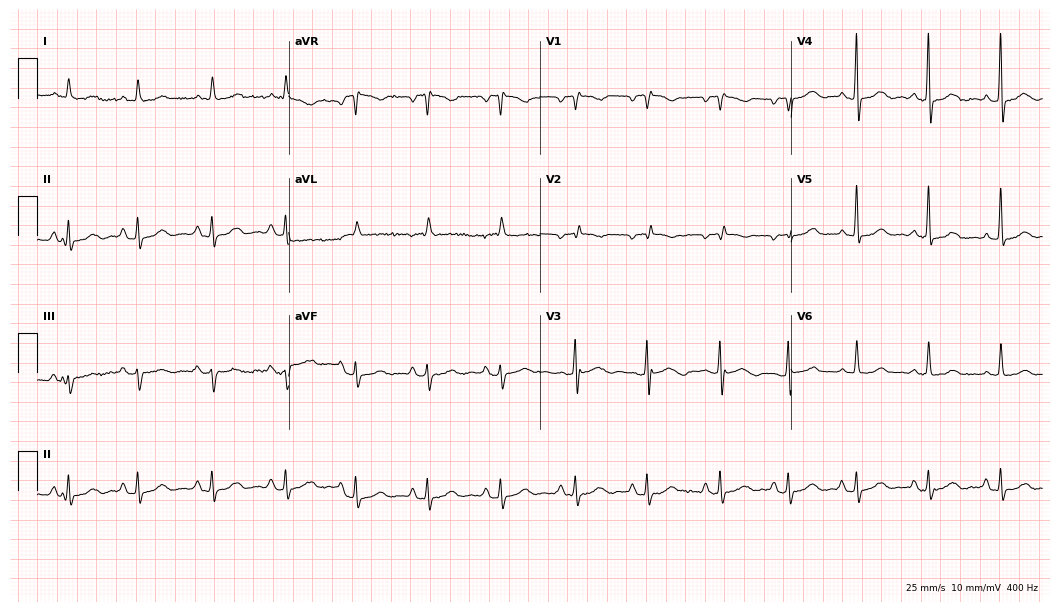
Electrocardiogram, an 82-year-old woman. Of the six screened findings (first-degree AV block, right bundle branch block, left bundle branch block, sinus bradycardia, atrial fibrillation, sinus tachycardia), none is recorded.